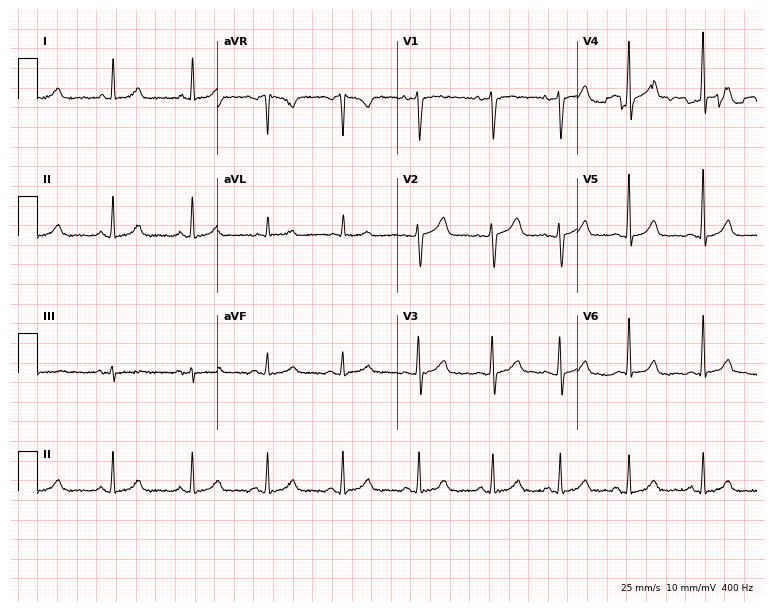
Standard 12-lead ECG recorded from a 43-year-old female patient. Read as a normal ECG.